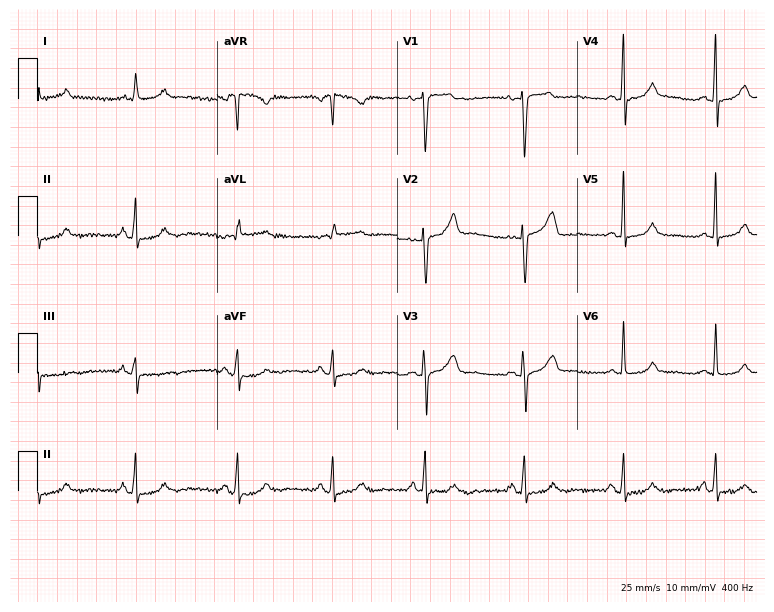
12-lead ECG (7.3-second recording at 400 Hz) from a 37-year-old female. Screened for six findings — first-degree AV block, right bundle branch block, left bundle branch block, sinus bradycardia, atrial fibrillation, sinus tachycardia — none is recorded.